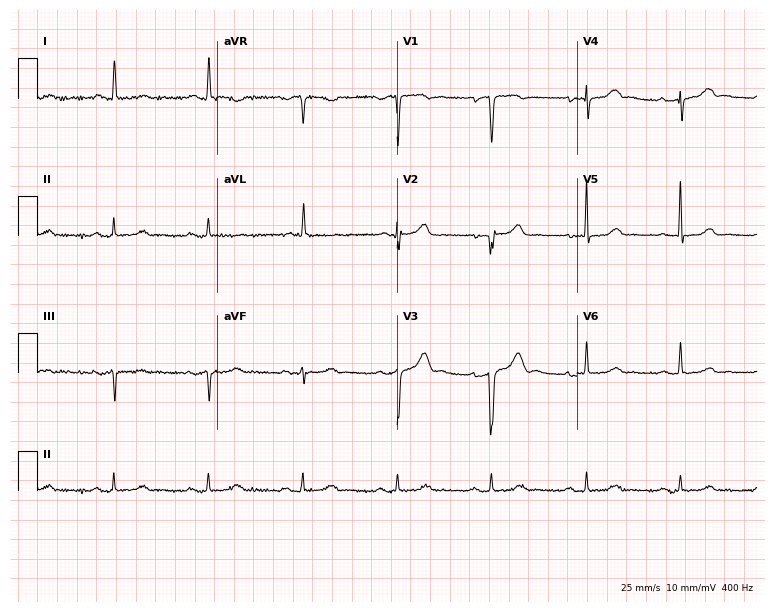
Resting 12-lead electrocardiogram (7.3-second recording at 400 Hz). Patient: an 84-year-old female. None of these six findings is recorded: first-degree AV block, right bundle branch block (RBBB), left bundle branch block (LBBB), sinus bradycardia, atrial fibrillation (AF), sinus tachycardia.